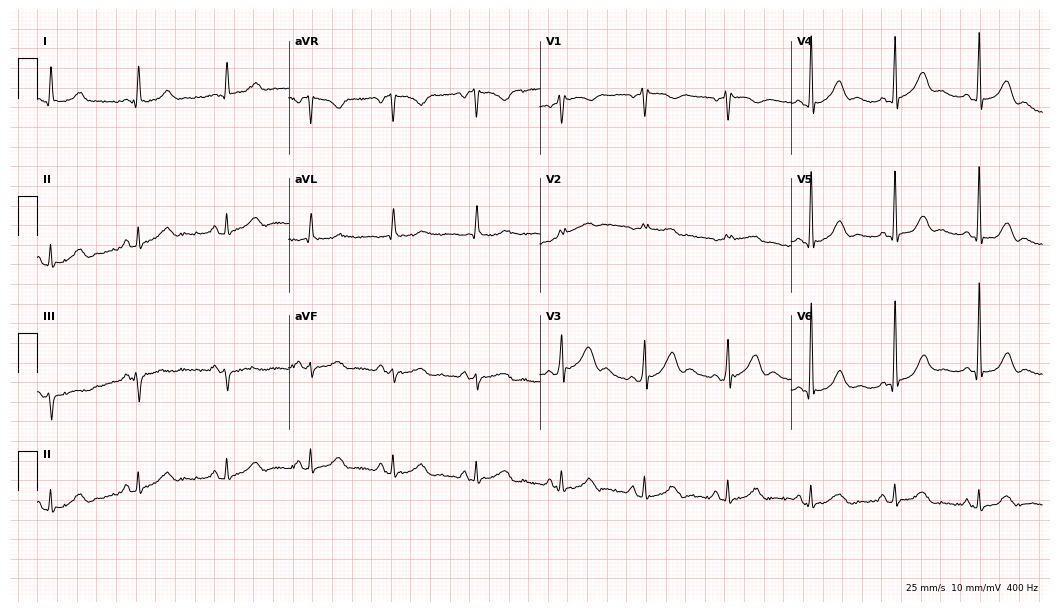
Standard 12-lead ECG recorded from a 57-year-old male. None of these six findings is recorded: first-degree AV block, right bundle branch block (RBBB), left bundle branch block (LBBB), sinus bradycardia, atrial fibrillation (AF), sinus tachycardia. Only these six findings were labelled.